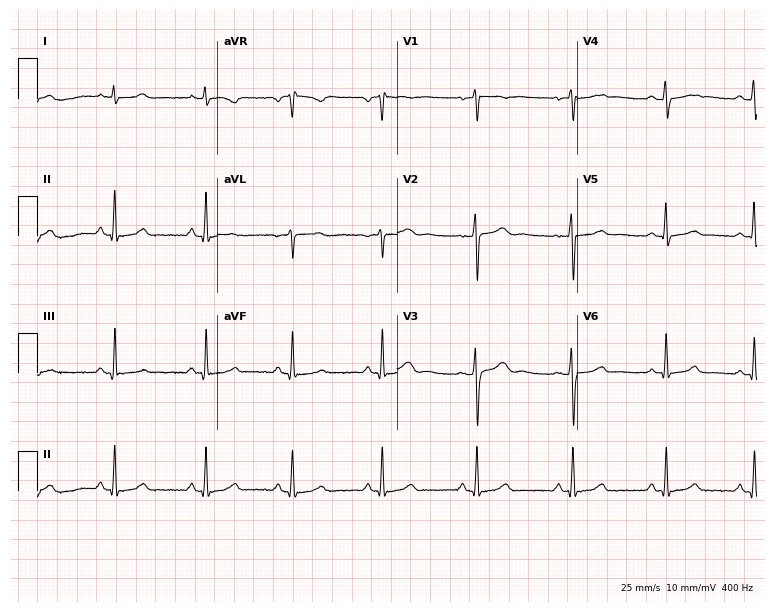
ECG (7.3-second recording at 400 Hz) — a 23-year-old female. Labelled as a normal ECG.